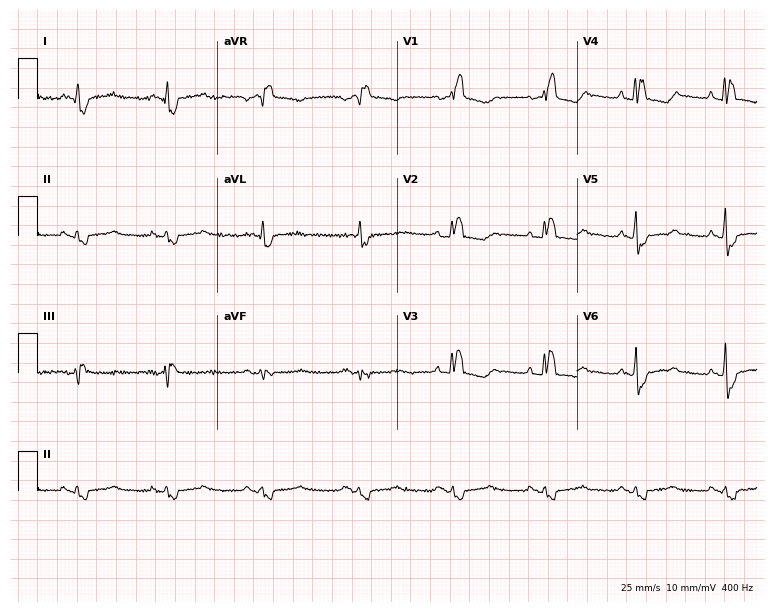
Standard 12-lead ECG recorded from a female, 59 years old (7.3-second recording at 400 Hz). The tracing shows right bundle branch block.